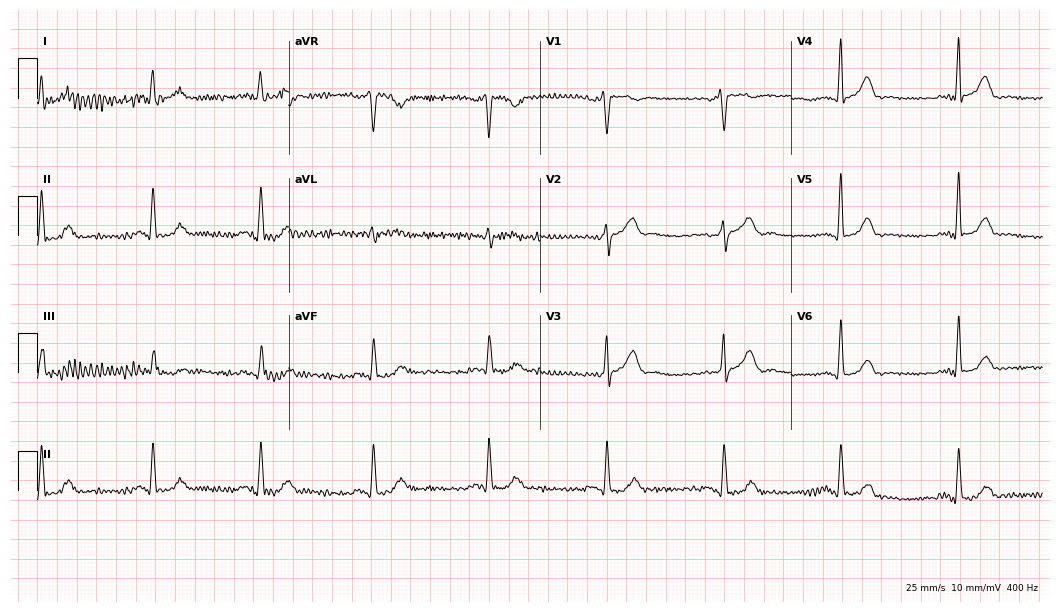
Resting 12-lead electrocardiogram. Patient: a man, 71 years old. None of these six findings is recorded: first-degree AV block, right bundle branch block, left bundle branch block, sinus bradycardia, atrial fibrillation, sinus tachycardia.